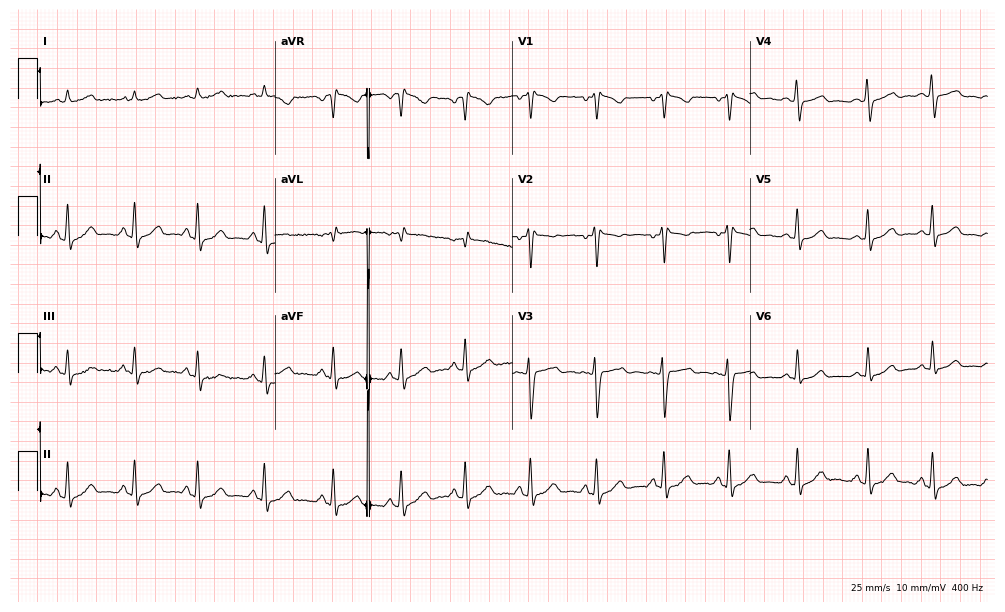
Electrocardiogram (9.7-second recording at 400 Hz), a 27-year-old woman. Overall reading on record: normal ECG.